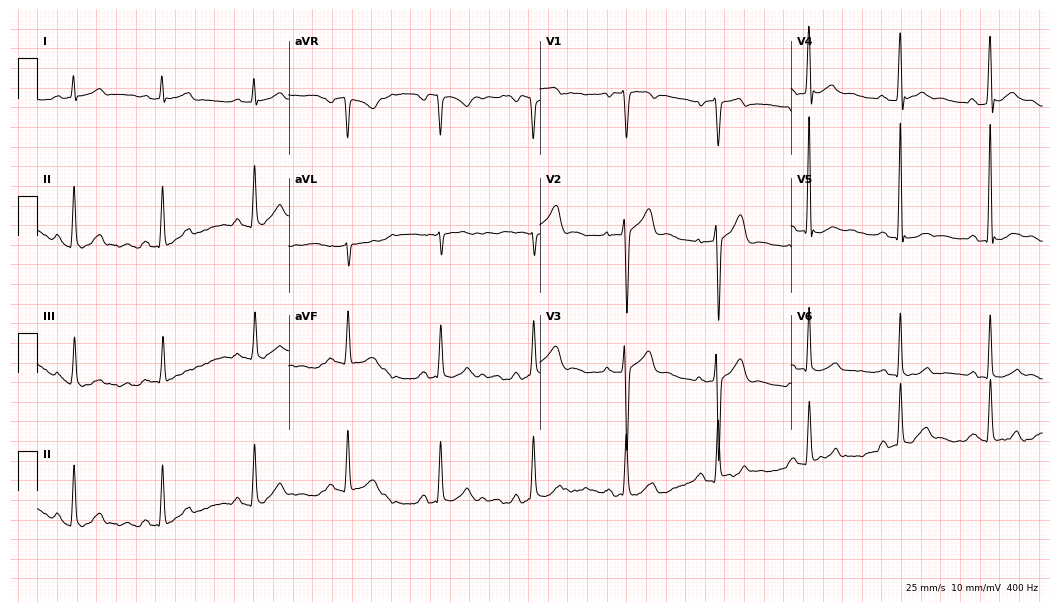
Resting 12-lead electrocardiogram. Patient: a 40-year-old male. Read as a normal ECG.